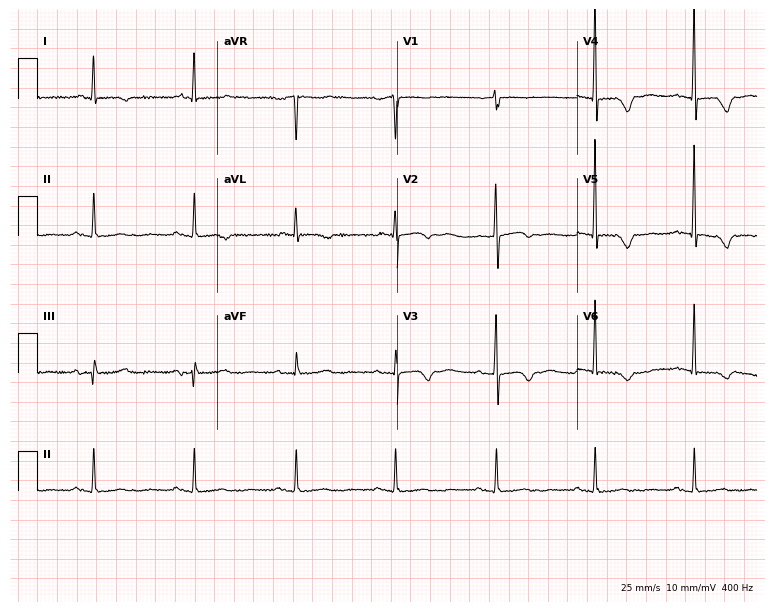
12-lead ECG from a 75-year-old woman (7.3-second recording at 400 Hz). No first-degree AV block, right bundle branch block, left bundle branch block, sinus bradycardia, atrial fibrillation or sinus tachycardia recorded for this tracing.